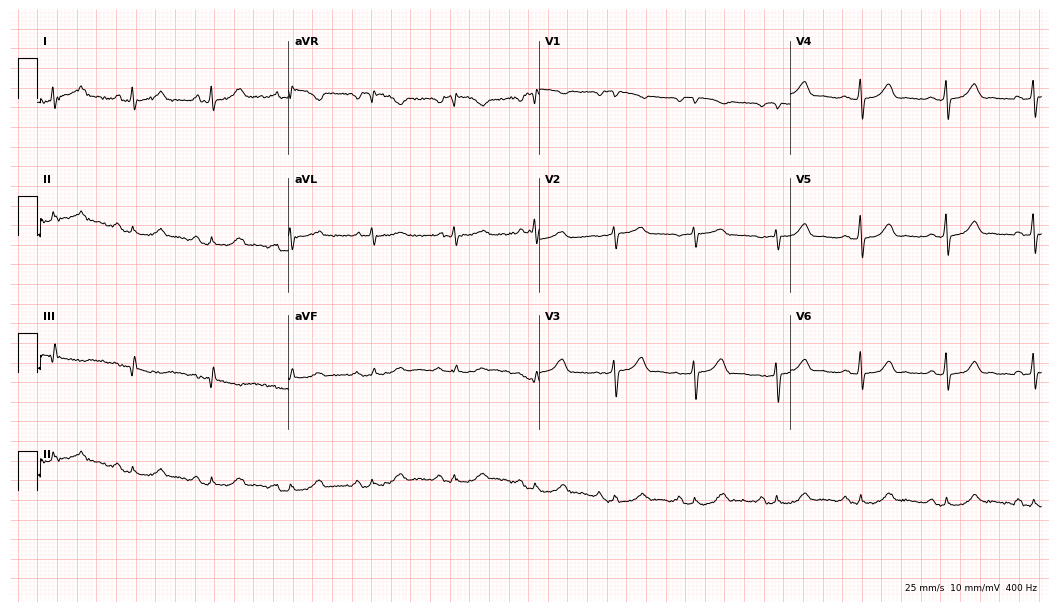
Resting 12-lead electrocardiogram. Patient: a woman, 56 years old. Read as a normal ECG.